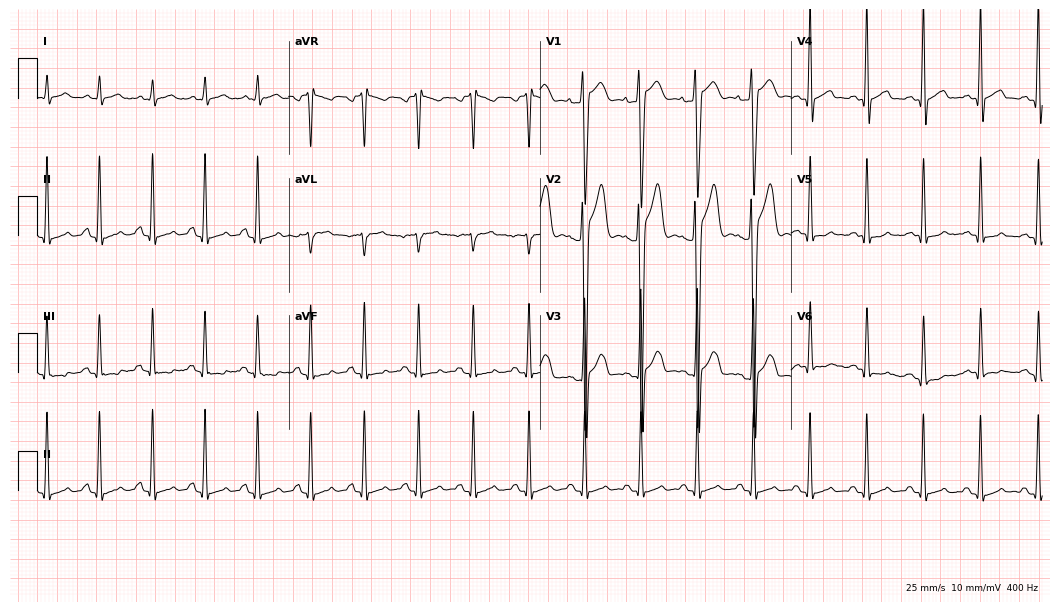
ECG (10.2-second recording at 400 Hz) — a 33-year-old man. Findings include sinus tachycardia (a sinus rate of 100 beats per minute or more).